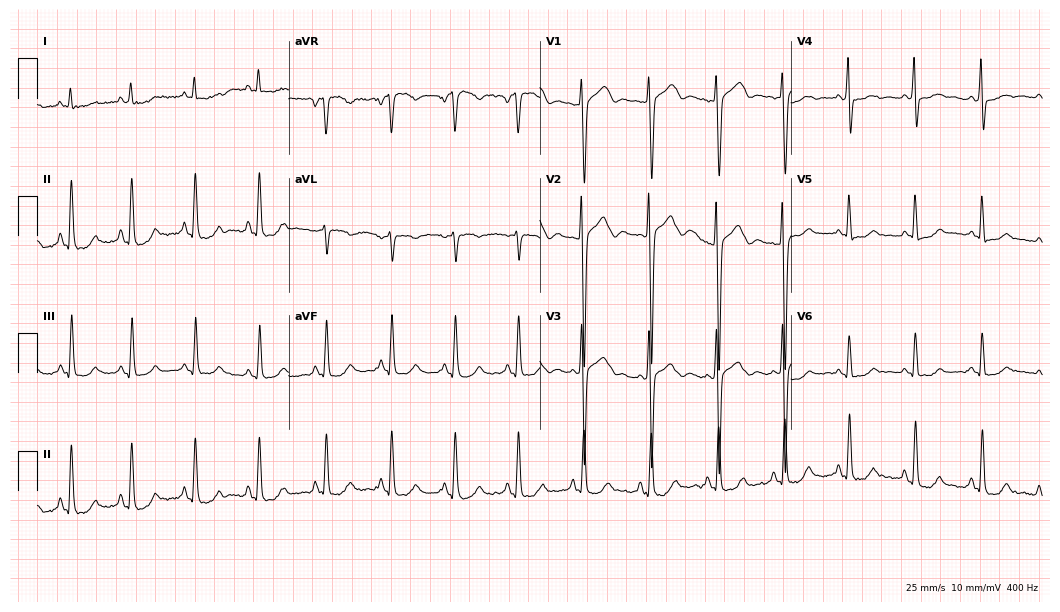
12-lead ECG from a female, 22 years old. Screened for six findings — first-degree AV block, right bundle branch block (RBBB), left bundle branch block (LBBB), sinus bradycardia, atrial fibrillation (AF), sinus tachycardia — none is recorded. Findings outside these six are not listed.